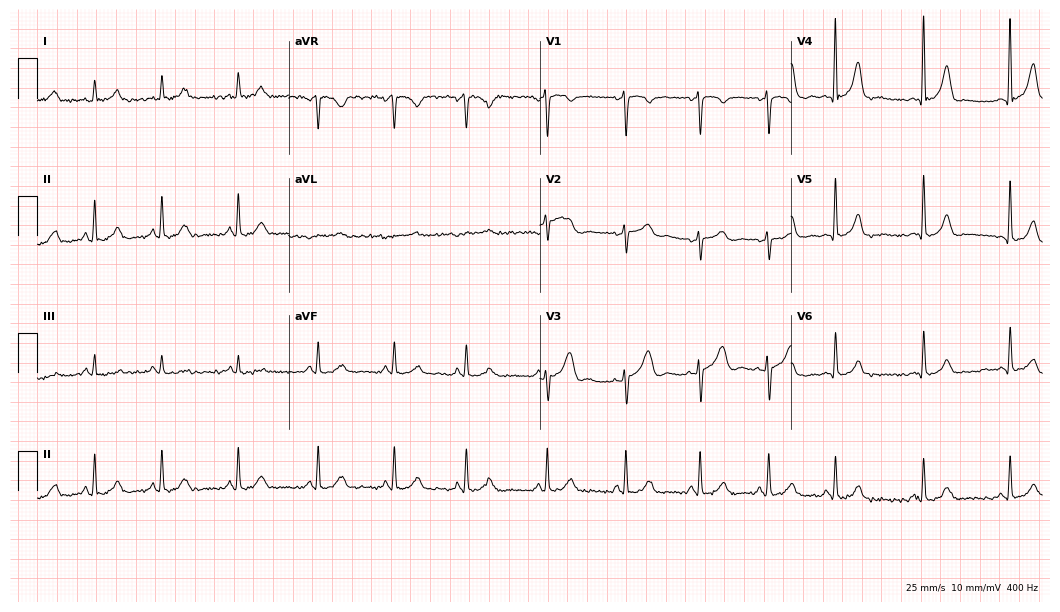
12-lead ECG from a woman, 35 years old (10.2-second recording at 400 Hz). Recorded interpretation: within normal limits.